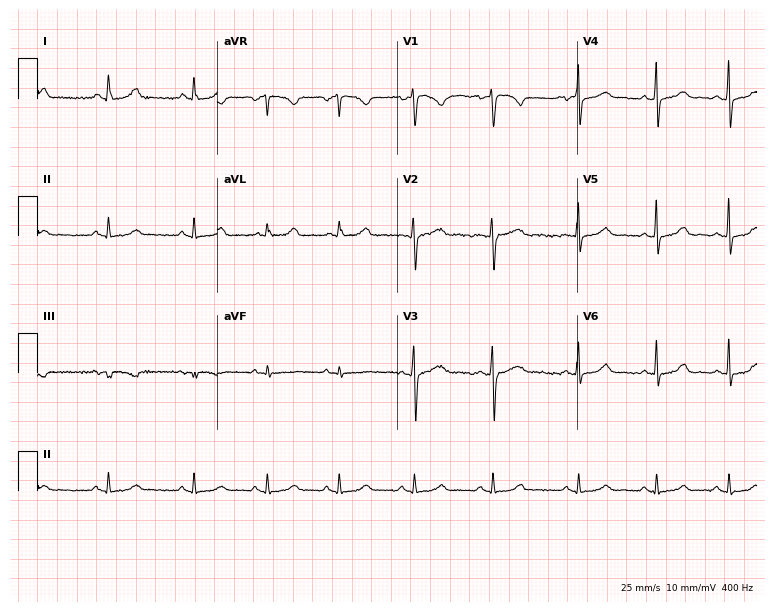
ECG — a 36-year-old female patient. Labelled as a normal ECG.